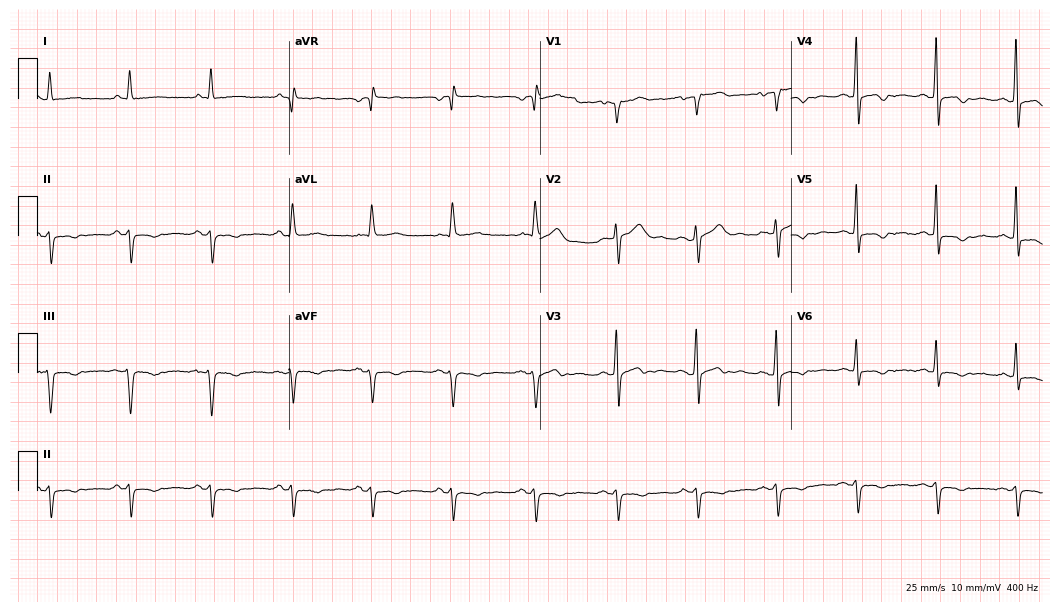
Resting 12-lead electrocardiogram (10.2-second recording at 400 Hz). Patient: a man, 58 years old. None of these six findings is recorded: first-degree AV block, right bundle branch block, left bundle branch block, sinus bradycardia, atrial fibrillation, sinus tachycardia. Other findings, if any, are not listed.